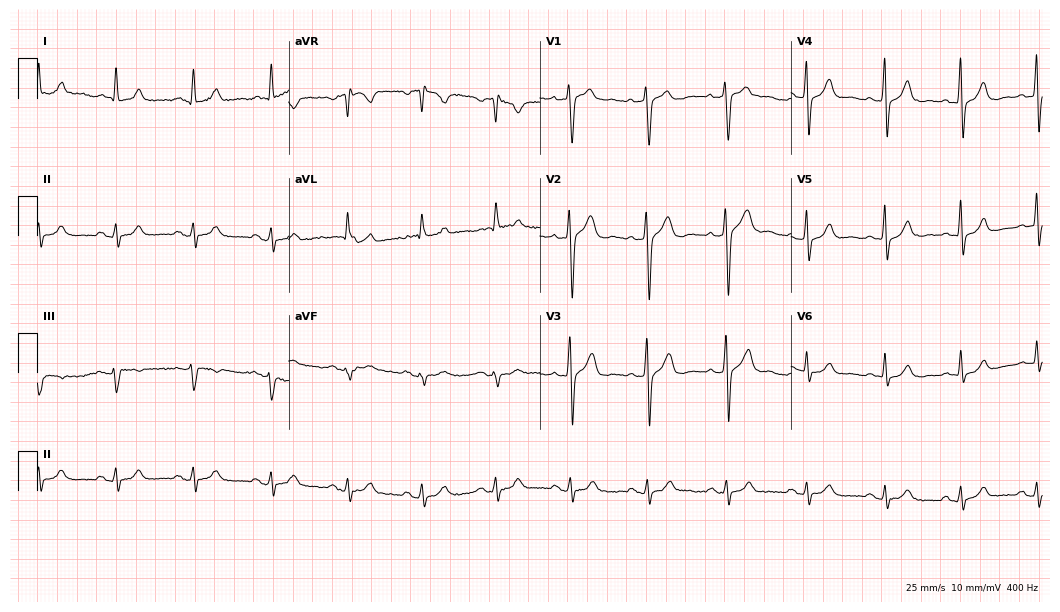
ECG (10.2-second recording at 400 Hz) — a male, 45 years old. Labelled as a normal ECG.